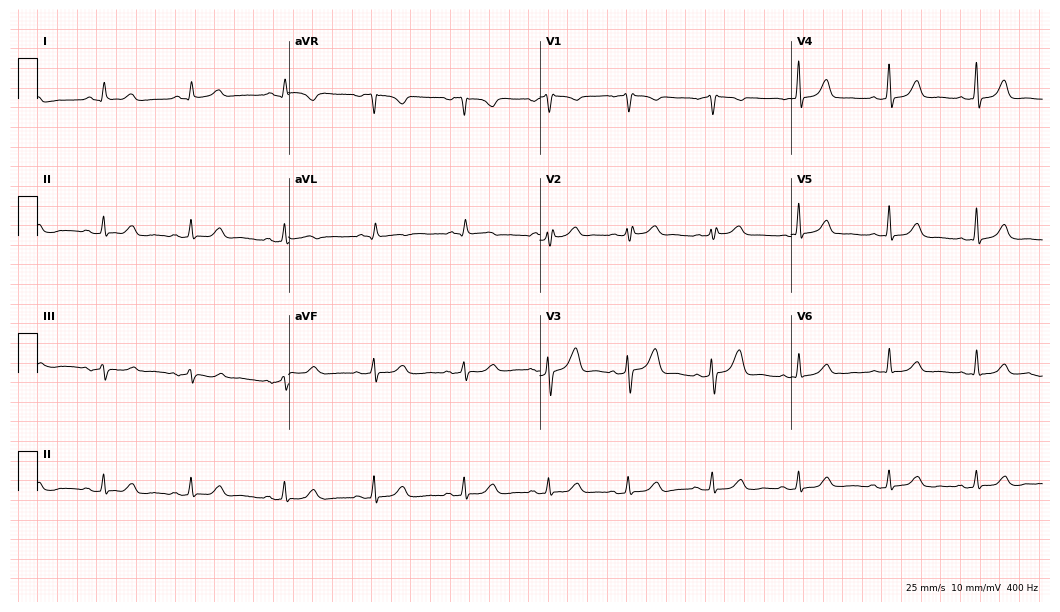
Electrocardiogram (10.2-second recording at 400 Hz), a female, 45 years old. Of the six screened findings (first-degree AV block, right bundle branch block, left bundle branch block, sinus bradycardia, atrial fibrillation, sinus tachycardia), none is recorded.